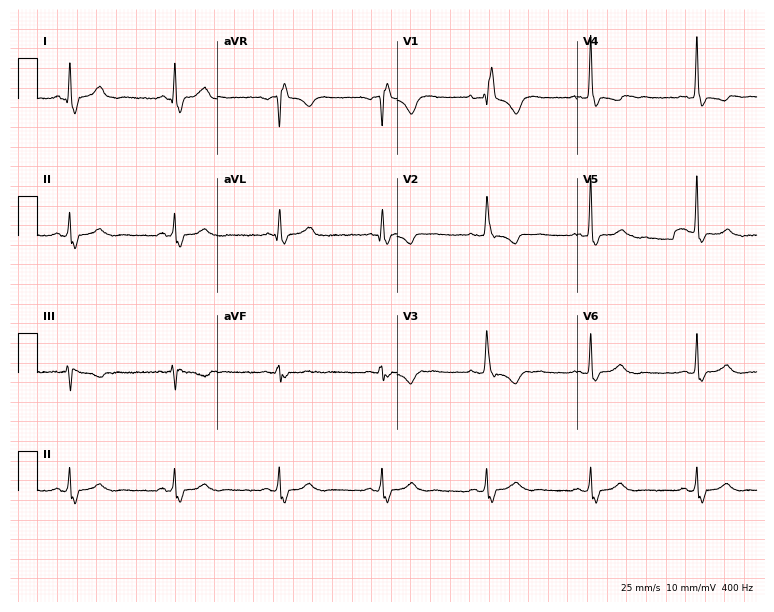
Electrocardiogram, a 51-year-old female. Interpretation includes right bundle branch block.